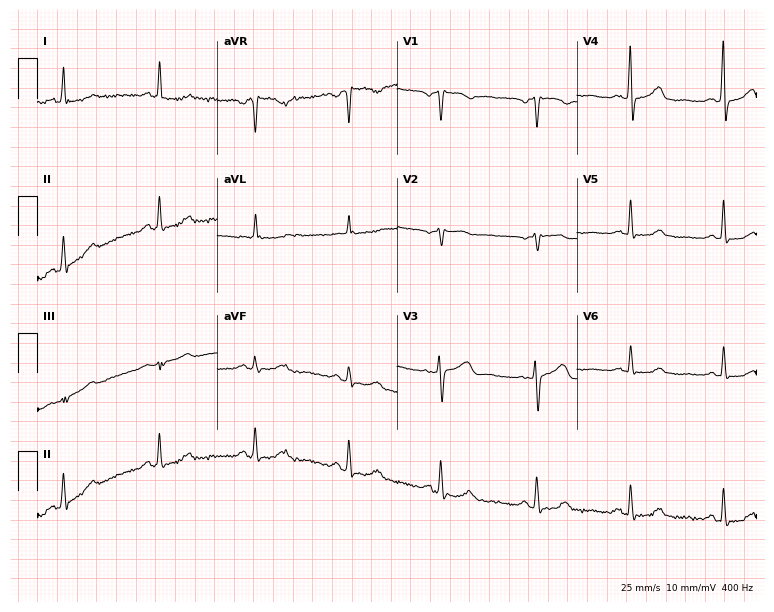
ECG — a 63-year-old female patient. Screened for six findings — first-degree AV block, right bundle branch block, left bundle branch block, sinus bradycardia, atrial fibrillation, sinus tachycardia — none is recorded. Other findings, if any, are not listed.